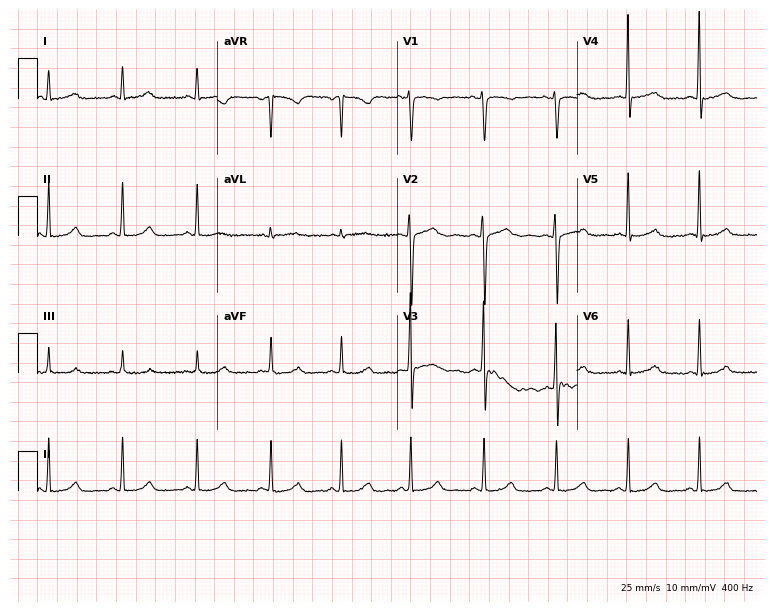
12-lead ECG from a 30-year-old female patient. Recorded interpretation: within normal limits.